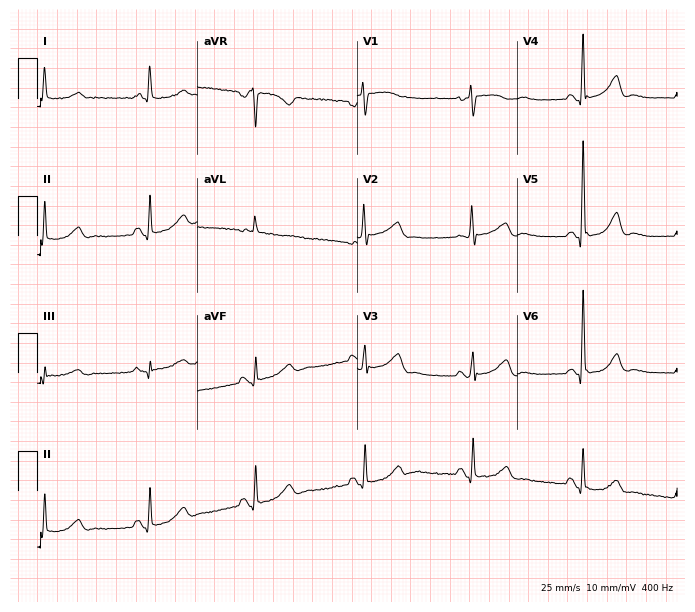
12-lead ECG from a 72-year-old woman. Screened for six findings — first-degree AV block, right bundle branch block, left bundle branch block, sinus bradycardia, atrial fibrillation, sinus tachycardia — none is recorded. Other findings, if any, are not listed.